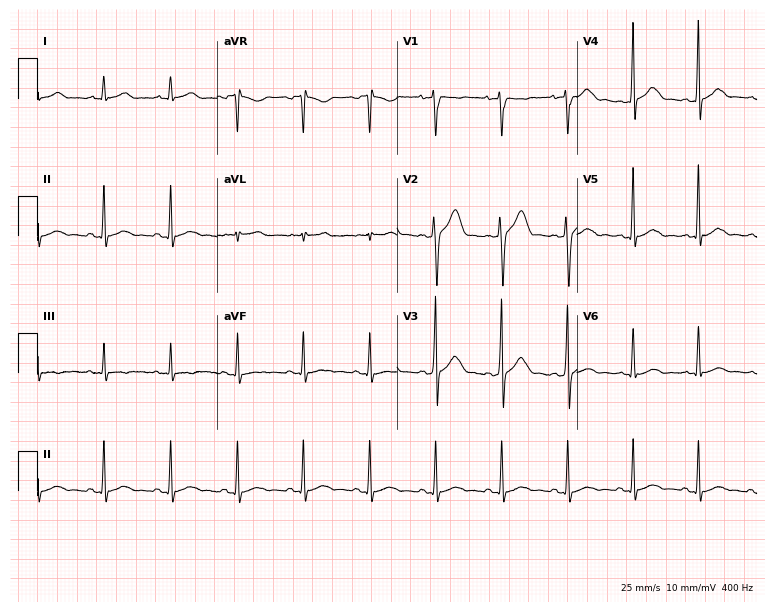
Standard 12-lead ECG recorded from a 30-year-old man (7.3-second recording at 400 Hz). Read as a normal ECG.